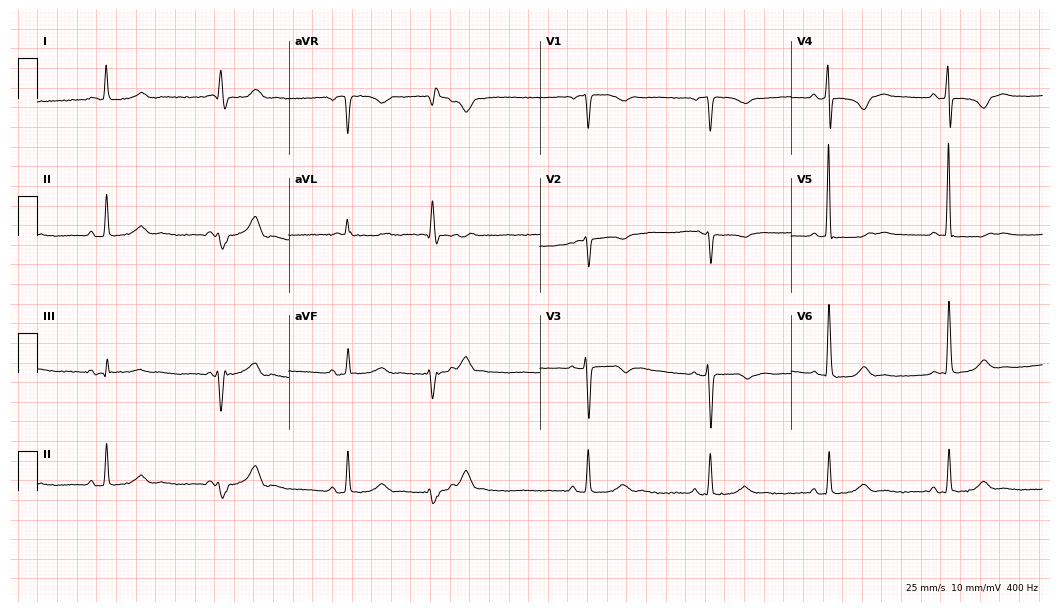
Electrocardiogram (10.2-second recording at 400 Hz), a female patient, 78 years old. Of the six screened findings (first-degree AV block, right bundle branch block (RBBB), left bundle branch block (LBBB), sinus bradycardia, atrial fibrillation (AF), sinus tachycardia), none is recorded.